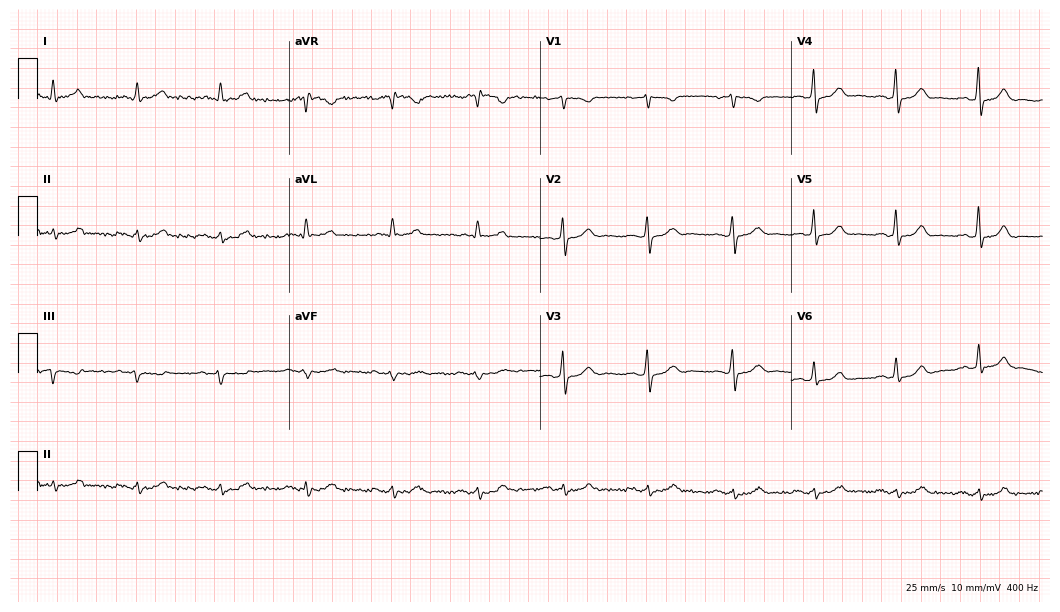
Electrocardiogram, a 66-year-old male. Of the six screened findings (first-degree AV block, right bundle branch block, left bundle branch block, sinus bradycardia, atrial fibrillation, sinus tachycardia), none is recorded.